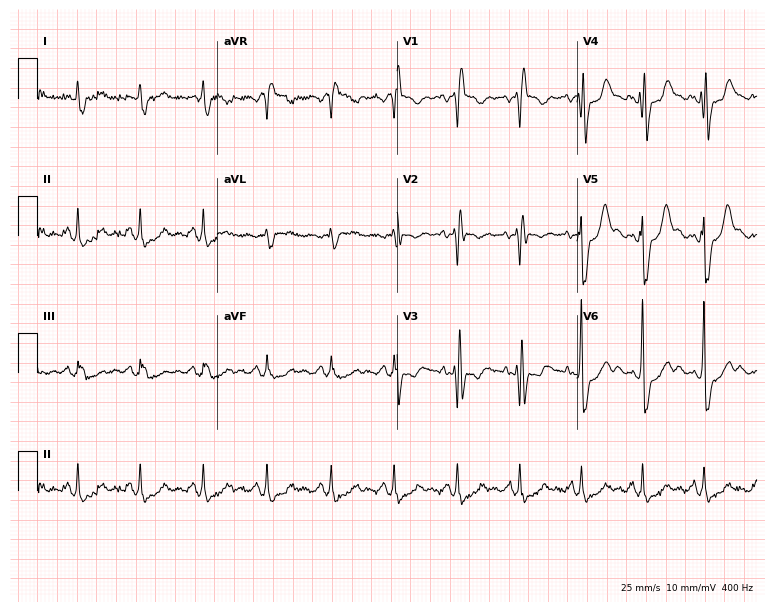
ECG — a man, 57 years old. Findings include right bundle branch block.